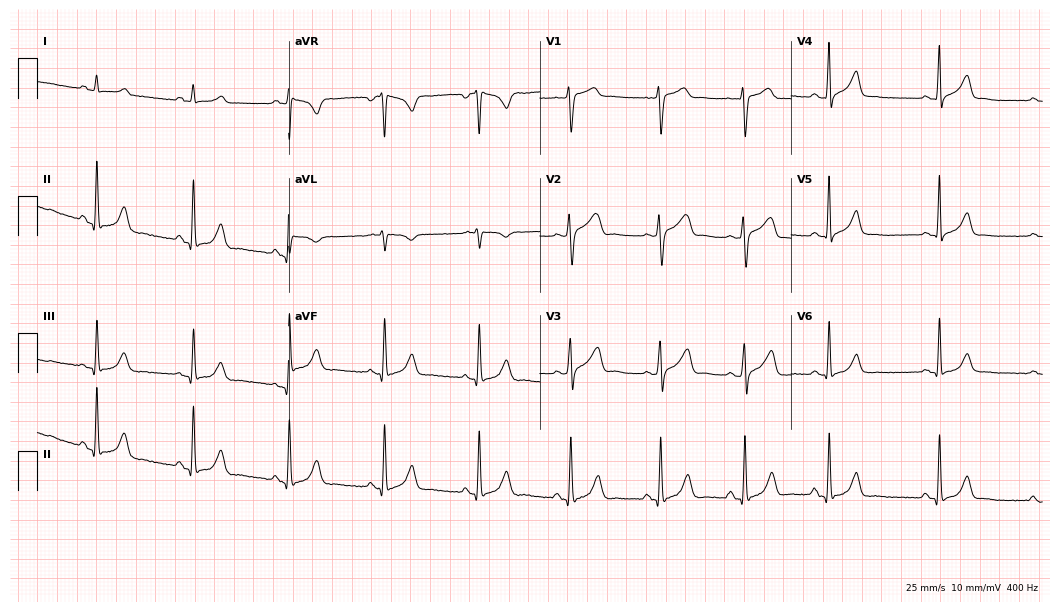
Electrocardiogram (10.2-second recording at 400 Hz), a male, 41 years old. Overall reading on record: normal ECG.